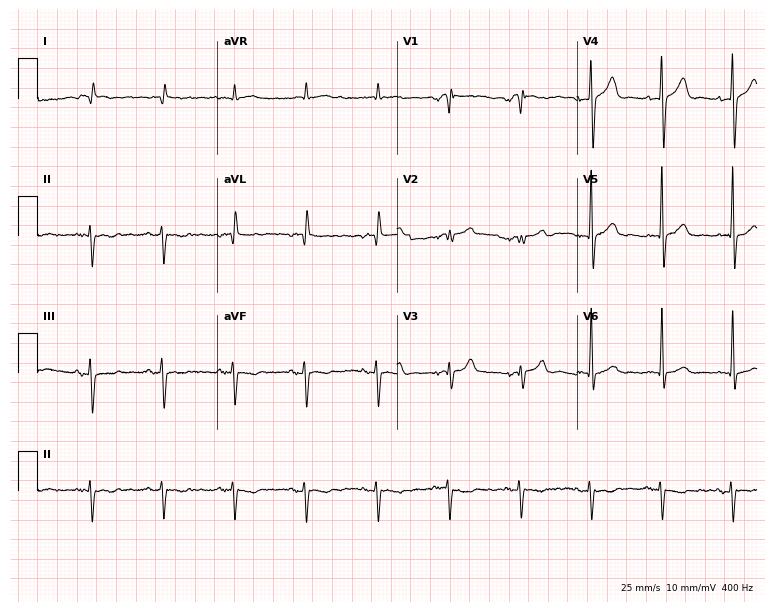
Electrocardiogram (7.3-second recording at 400 Hz), a man, 64 years old. Of the six screened findings (first-degree AV block, right bundle branch block (RBBB), left bundle branch block (LBBB), sinus bradycardia, atrial fibrillation (AF), sinus tachycardia), none is recorded. Other findings, if any, are not listed.